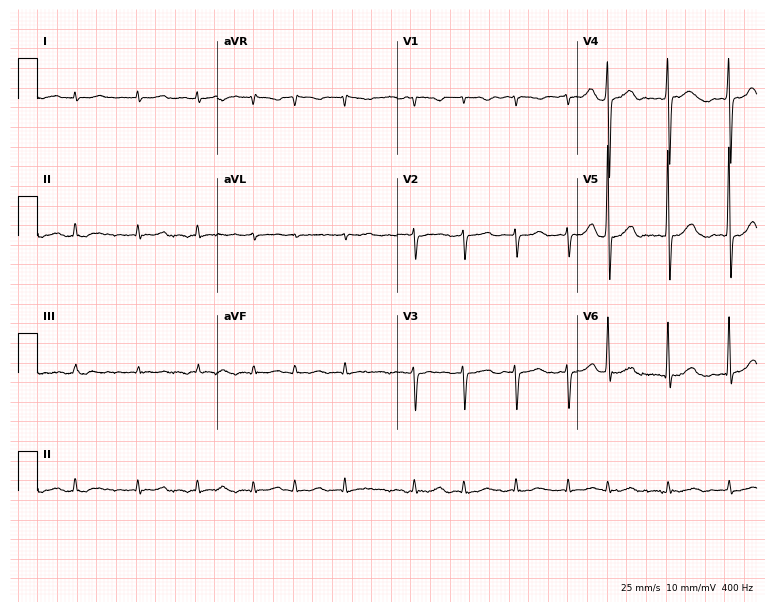
Standard 12-lead ECG recorded from a female, 78 years old (7.3-second recording at 400 Hz). The tracing shows atrial fibrillation.